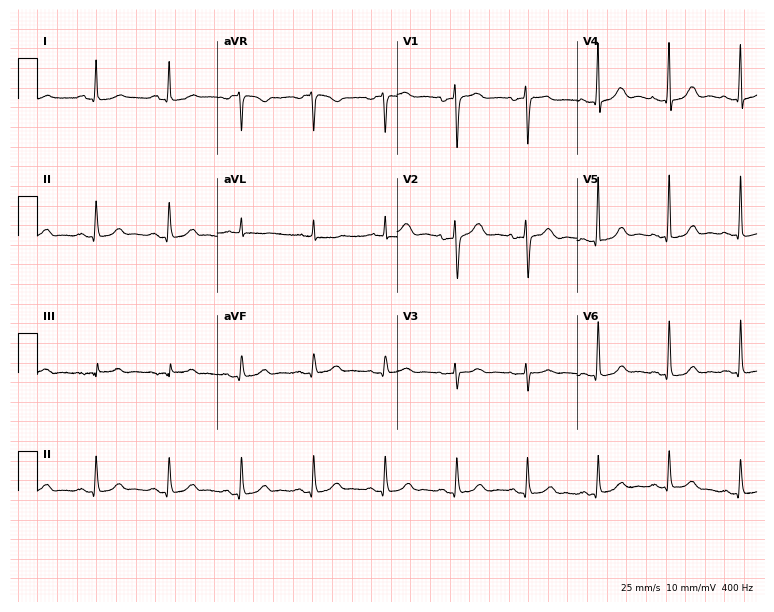
ECG (7.3-second recording at 400 Hz) — a female patient, 65 years old. Labelled as a normal ECG.